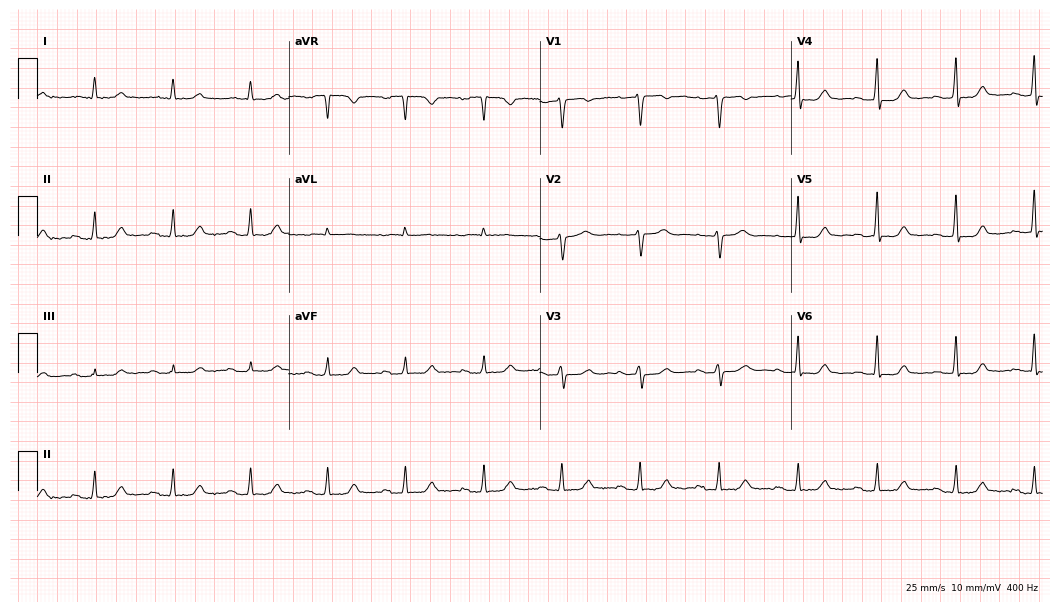
Electrocardiogram (10.2-second recording at 400 Hz), a 68-year-old woman. Overall reading on record: normal ECG.